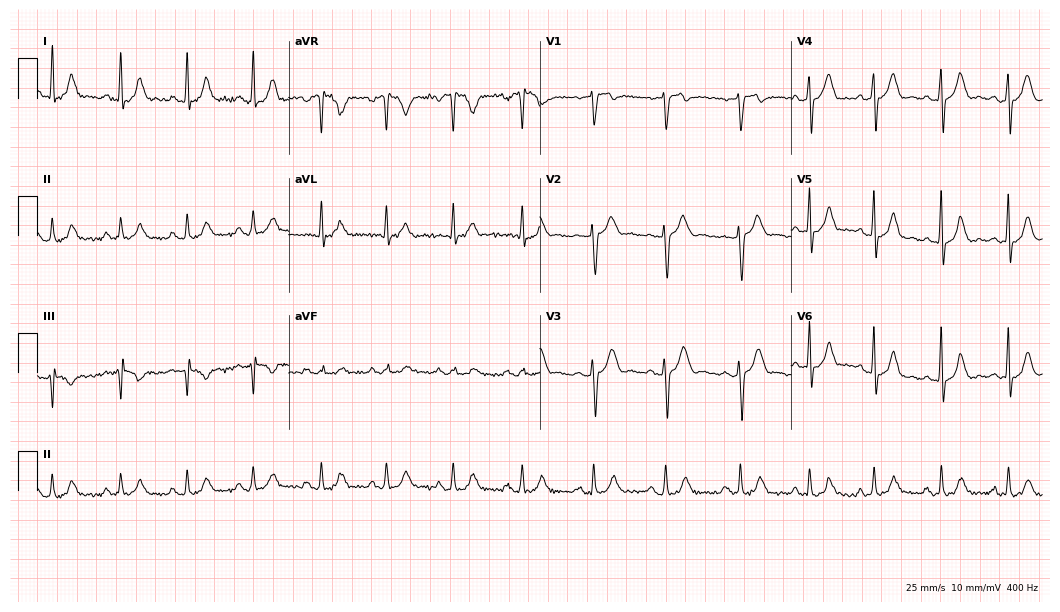
12-lead ECG (10.2-second recording at 400 Hz) from a woman, 42 years old. Labelled as a normal ECG.